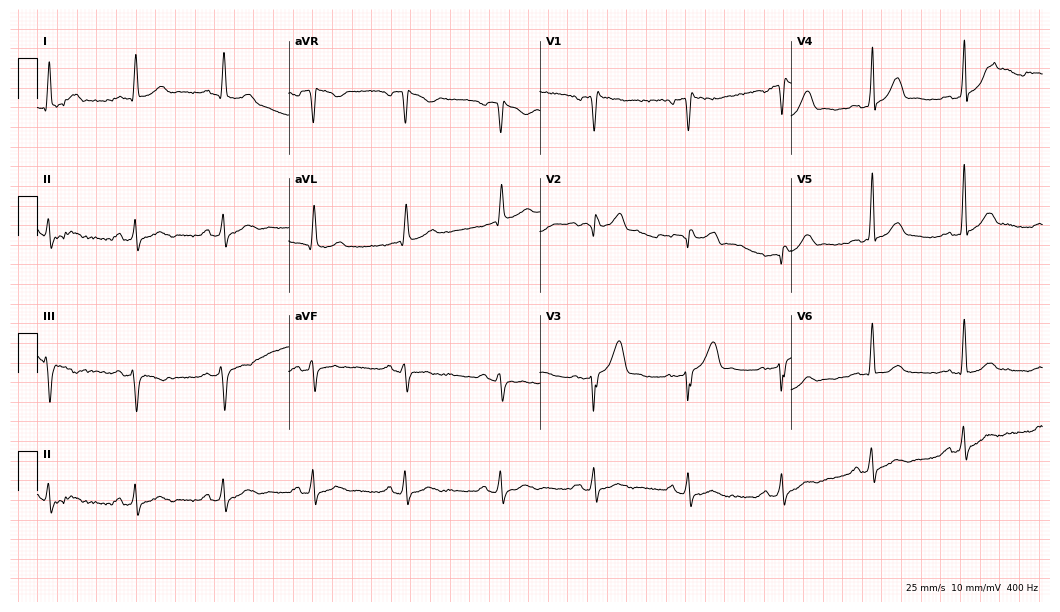
ECG — a male patient, 63 years old. Screened for six findings — first-degree AV block, right bundle branch block, left bundle branch block, sinus bradycardia, atrial fibrillation, sinus tachycardia — none is recorded. Findings outside these six are not listed.